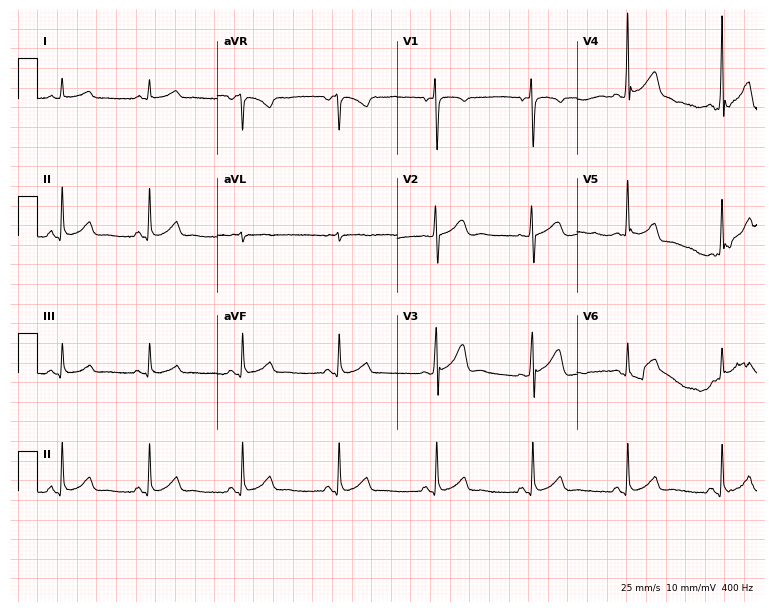
Standard 12-lead ECG recorded from a man, 56 years old (7.3-second recording at 400 Hz). Read as a normal ECG.